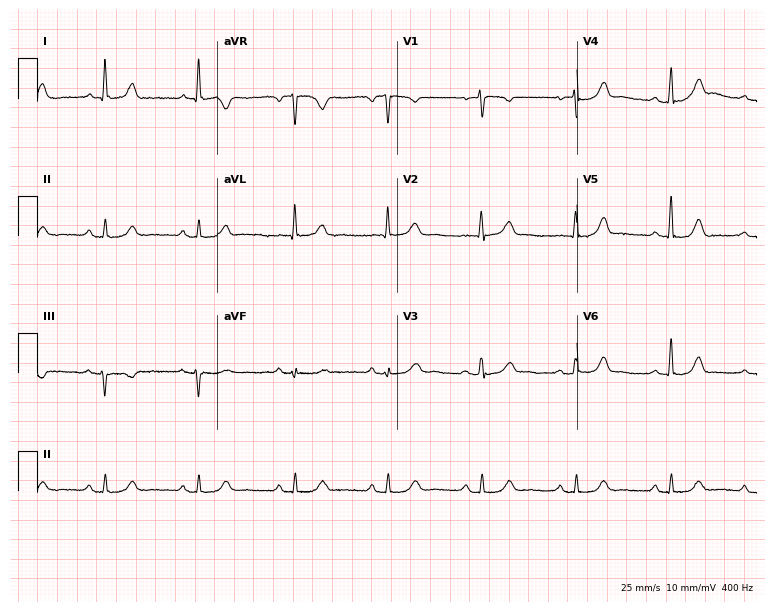
Standard 12-lead ECG recorded from a 71-year-old female patient (7.3-second recording at 400 Hz). Read as a normal ECG.